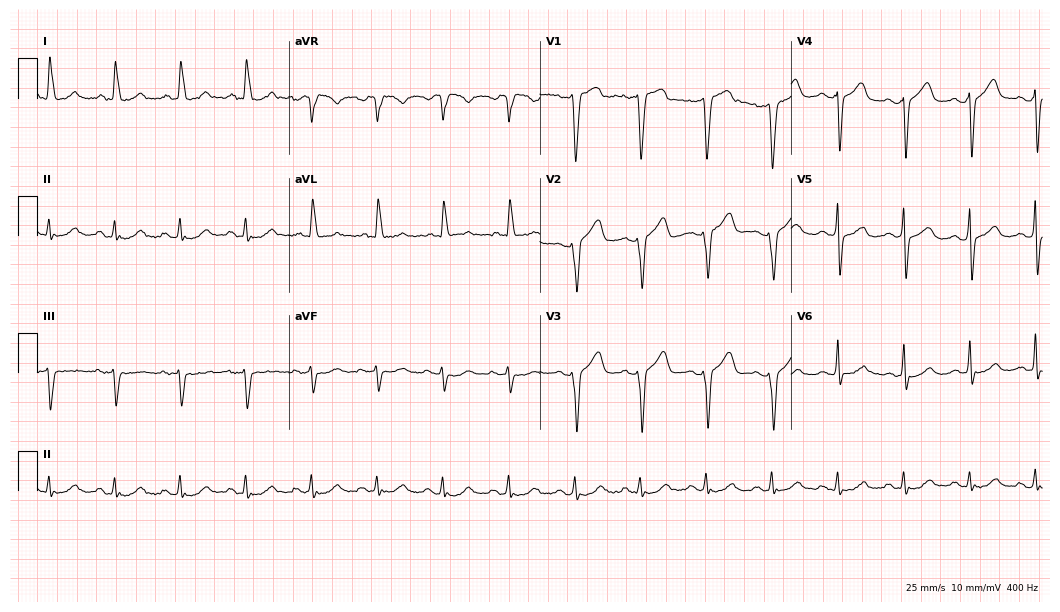
Electrocardiogram (10.2-second recording at 400 Hz), a female, 84 years old. Of the six screened findings (first-degree AV block, right bundle branch block, left bundle branch block, sinus bradycardia, atrial fibrillation, sinus tachycardia), none is recorded. Other findings, if any, are not listed.